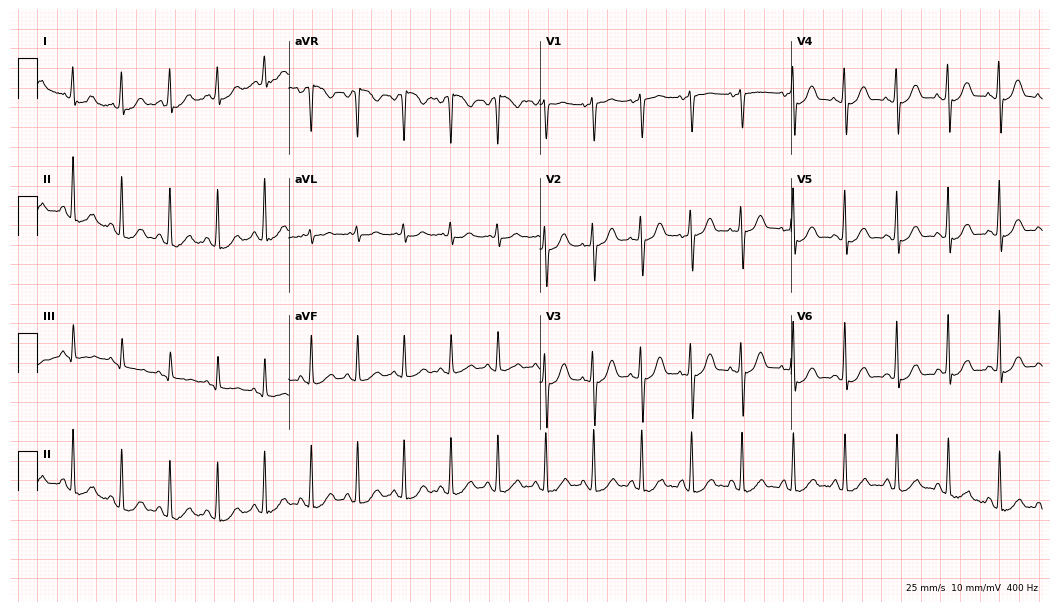
12-lead ECG from a woman, 23 years old. Findings include sinus tachycardia (a sinus rate of 100 beats per minute or more).